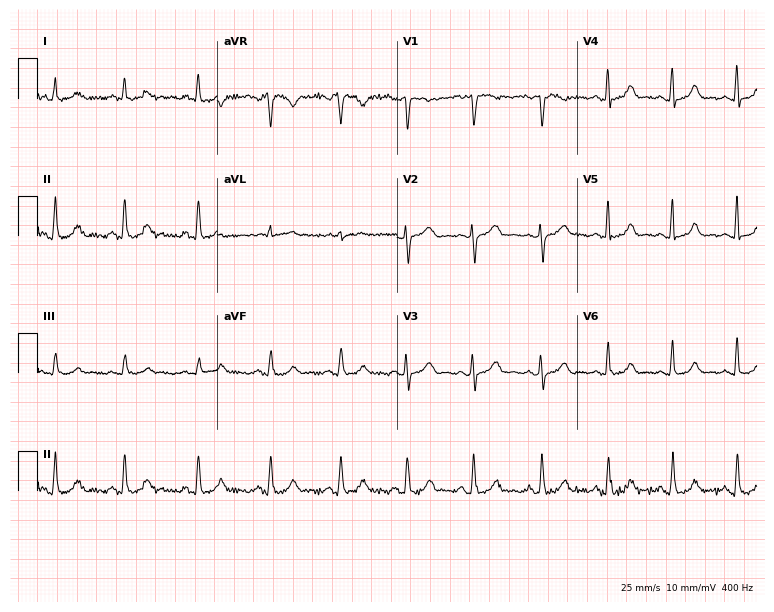
Resting 12-lead electrocardiogram. Patient: a female, 28 years old. Read as a normal ECG.